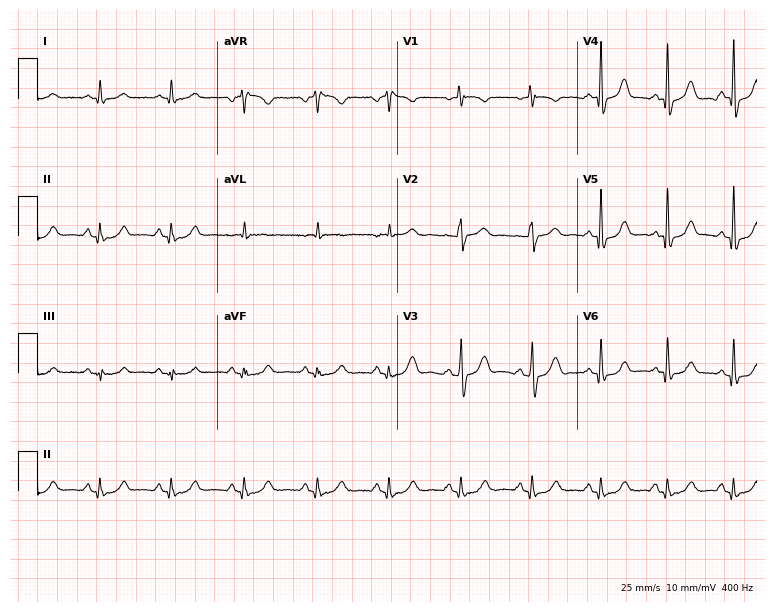
12-lead ECG from a male patient, 79 years old. No first-degree AV block, right bundle branch block, left bundle branch block, sinus bradycardia, atrial fibrillation or sinus tachycardia recorded for this tracing. Only these six findings were labelled.